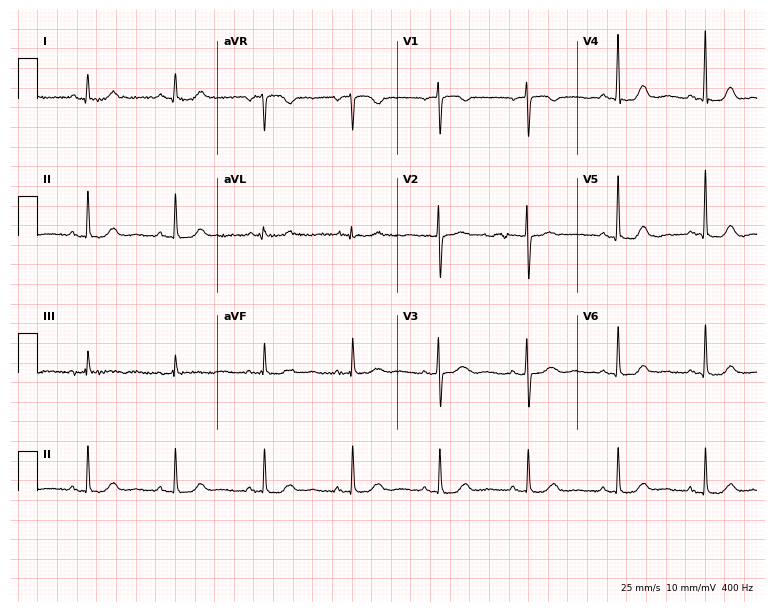
Electrocardiogram (7.3-second recording at 400 Hz), a 72-year-old female. Overall reading on record: normal ECG.